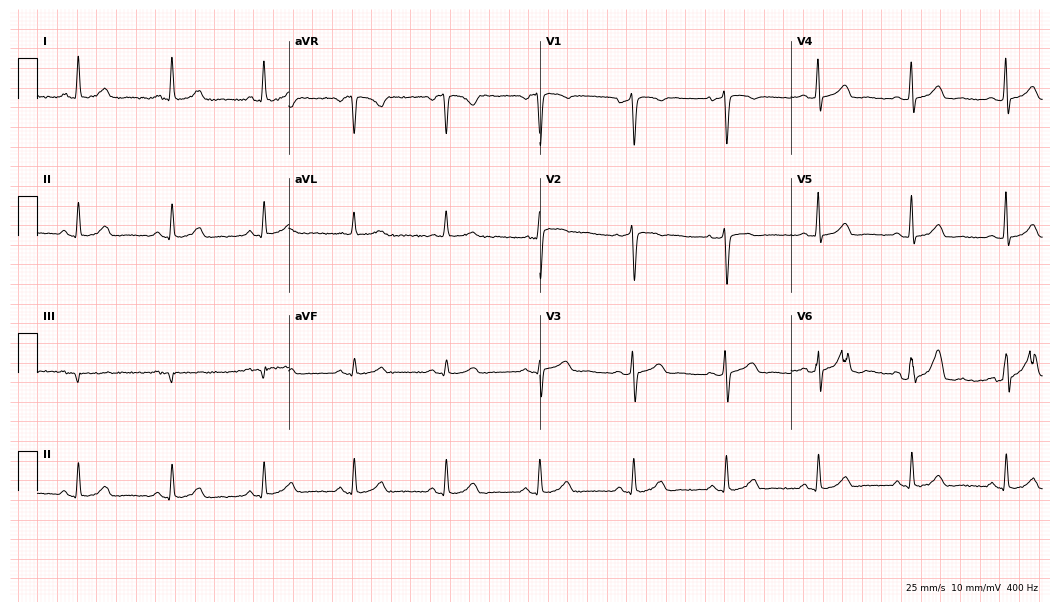
12-lead ECG (10.2-second recording at 400 Hz) from a 45-year-old female. Labelled as a normal ECG.